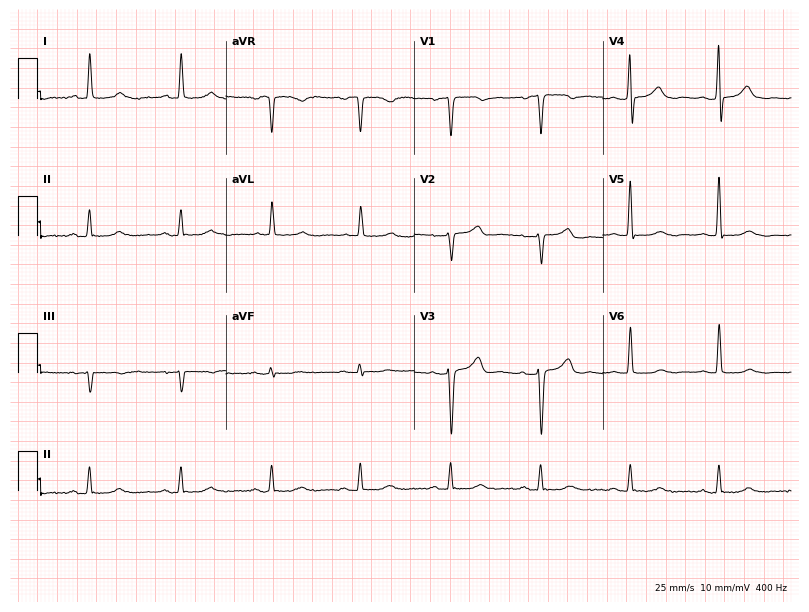
Electrocardiogram, a 60-year-old female. Of the six screened findings (first-degree AV block, right bundle branch block, left bundle branch block, sinus bradycardia, atrial fibrillation, sinus tachycardia), none is recorded. Only these six findings were labelled.